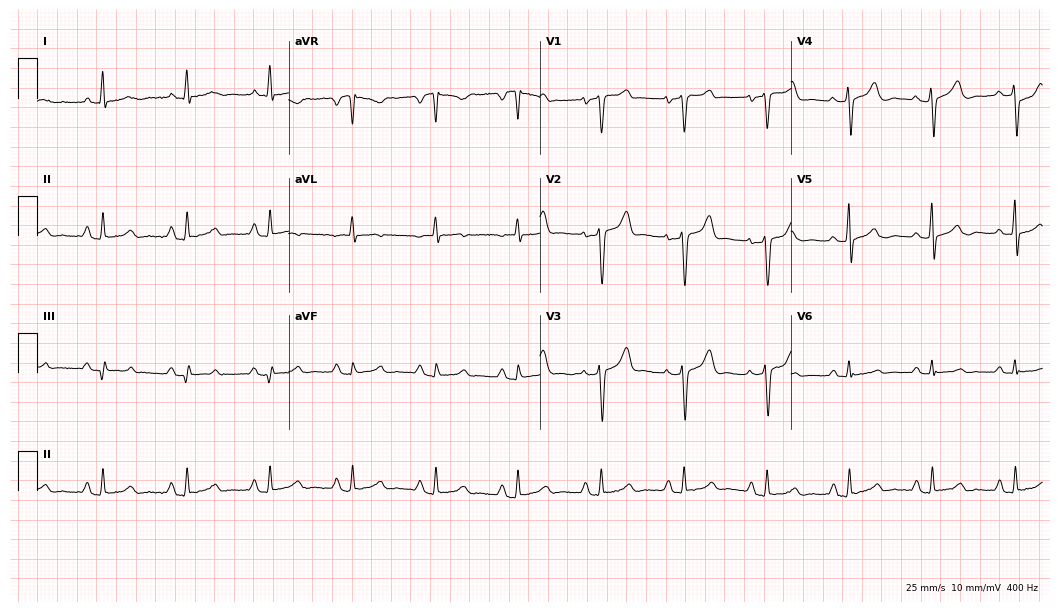
12-lead ECG from a male patient, 62 years old. Screened for six findings — first-degree AV block, right bundle branch block, left bundle branch block, sinus bradycardia, atrial fibrillation, sinus tachycardia — none is recorded.